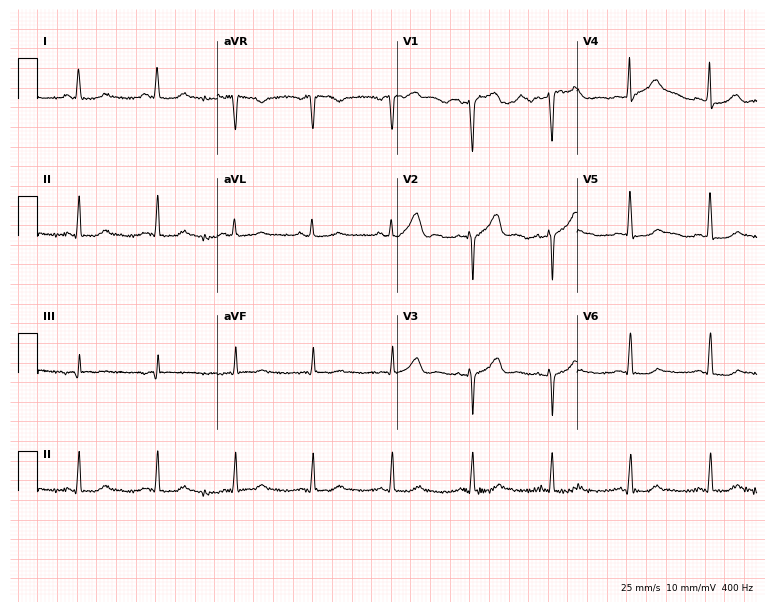
12-lead ECG from a 60-year-old woman. Screened for six findings — first-degree AV block, right bundle branch block, left bundle branch block, sinus bradycardia, atrial fibrillation, sinus tachycardia — none is recorded. Other findings, if any, are not listed.